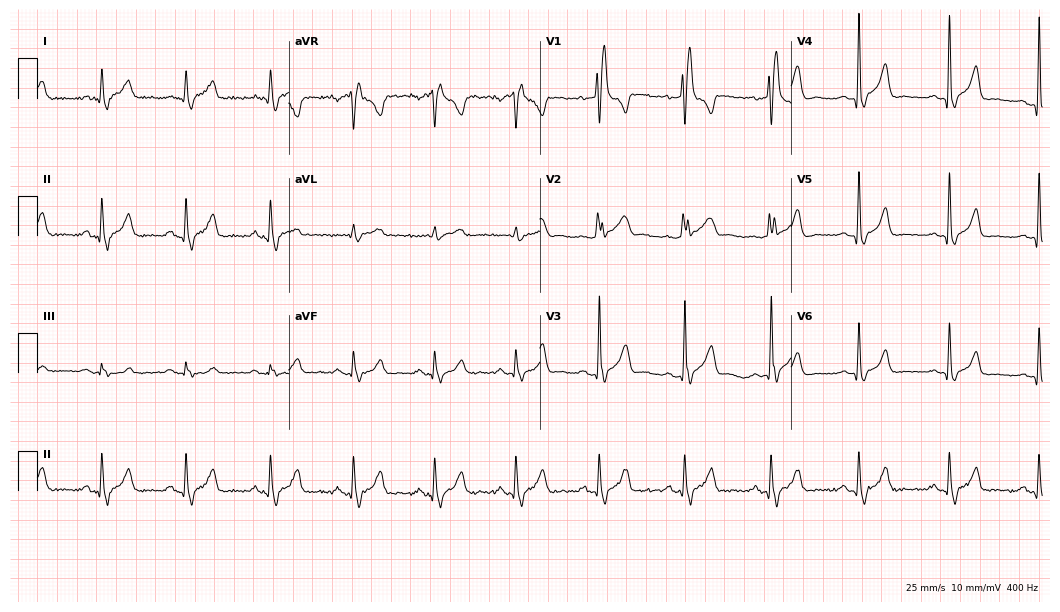
12-lead ECG from a 47-year-old male. Findings include right bundle branch block (RBBB).